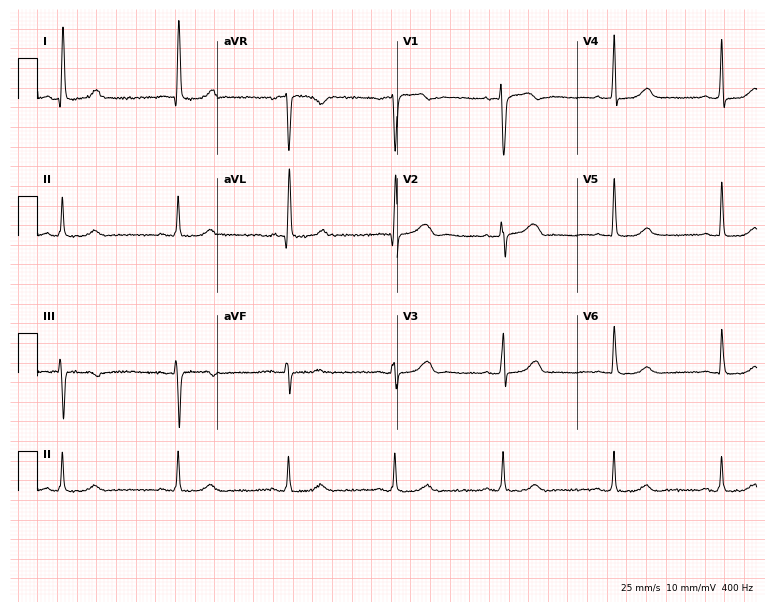
12-lead ECG from a female, 39 years old. No first-degree AV block, right bundle branch block, left bundle branch block, sinus bradycardia, atrial fibrillation or sinus tachycardia recorded for this tracing. Only these six findings were labelled.